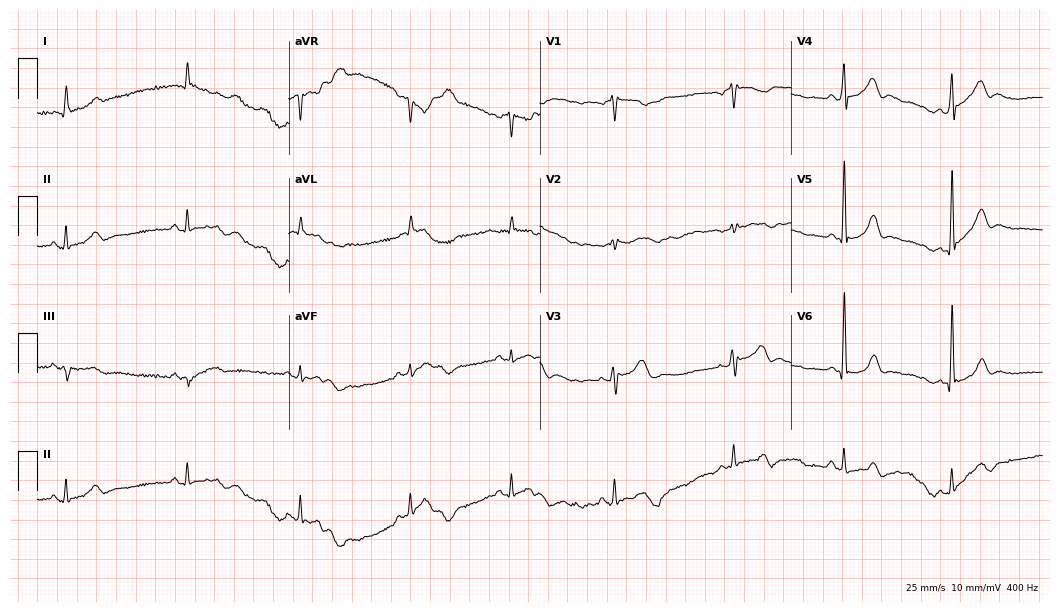
Standard 12-lead ECG recorded from a man, 53 years old. None of these six findings is recorded: first-degree AV block, right bundle branch block (RBBB), left bundle branch block (LBBB), sinus bradycardia, atrial fibrillation (AF), sinus tachycardia. Other findings, if any, are not listed.